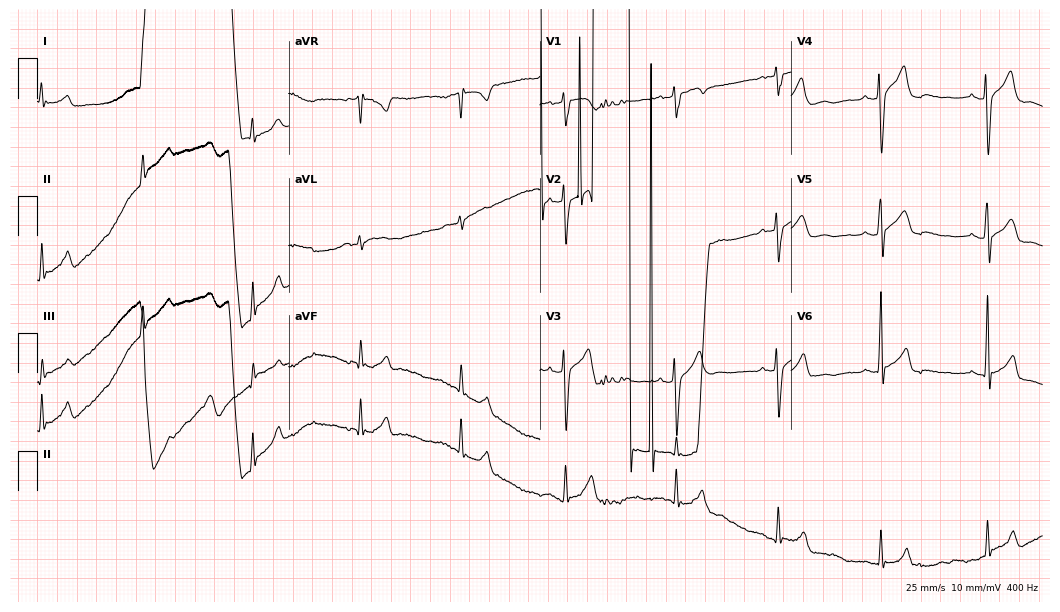
Electrocardiogram (10.2-second recording at 400 Hz), a male patient, 23 years old. Interpretation includes atrial fibrillation (AF).